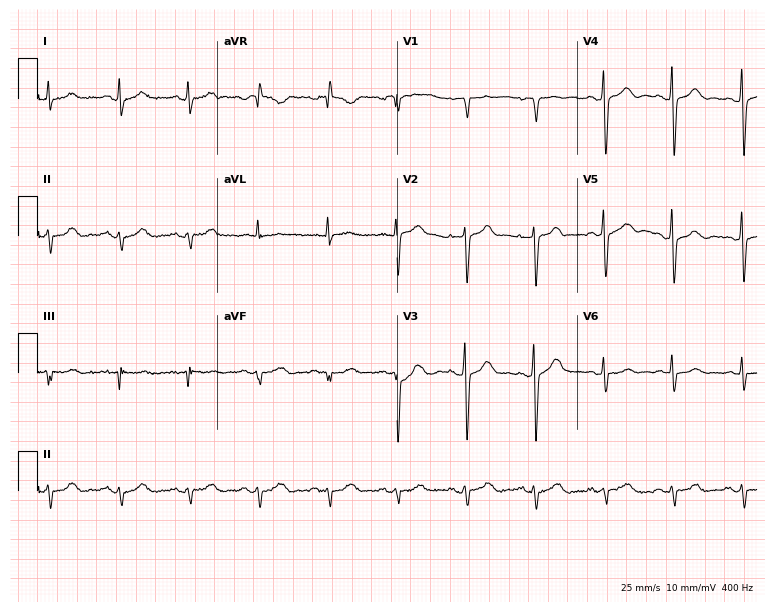
12-lead ECG from a 53-year-old male. Screened for six findings — first-degree AV block, right bundle branch block, left bundle branch block, sinus bradycardia, atrial fibrillation, sinus tachycardia — none is recorded.